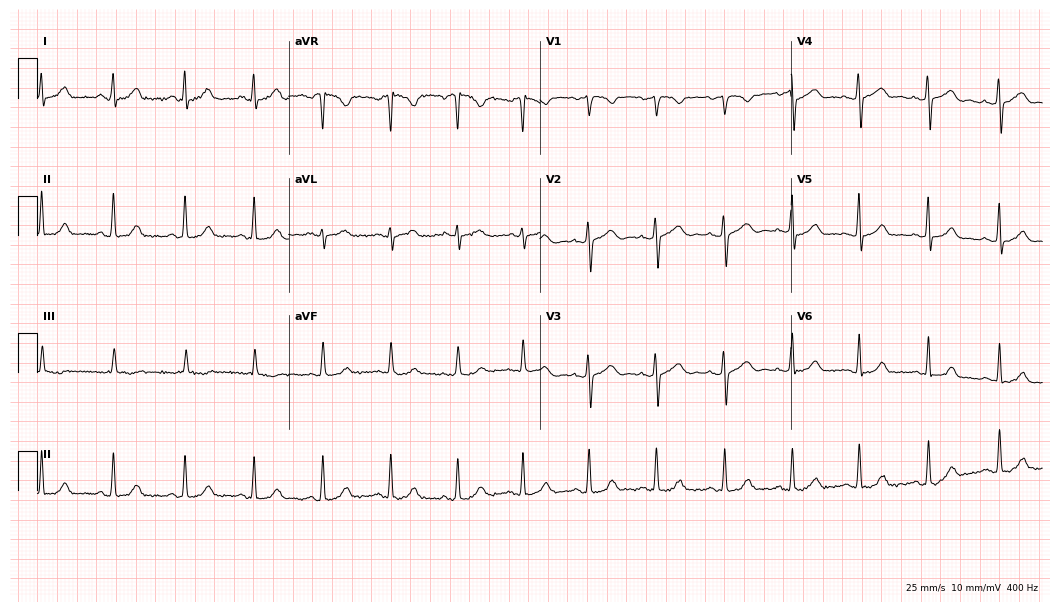
12-lead ECG (10.2-second recording at 400 Hz) from a 21-year-old female patient. Labelled as a normal ECG.